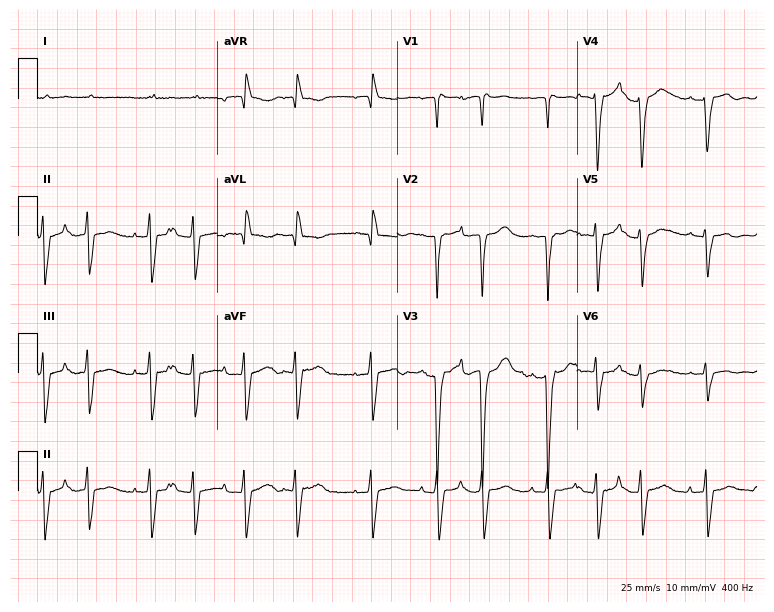
Standard 12-lead ECG recorded from a male, 82 years old. The tracing shows atrial fibrillation, sinus tachycardia (a sinus rate of 100 beats per minute or more).